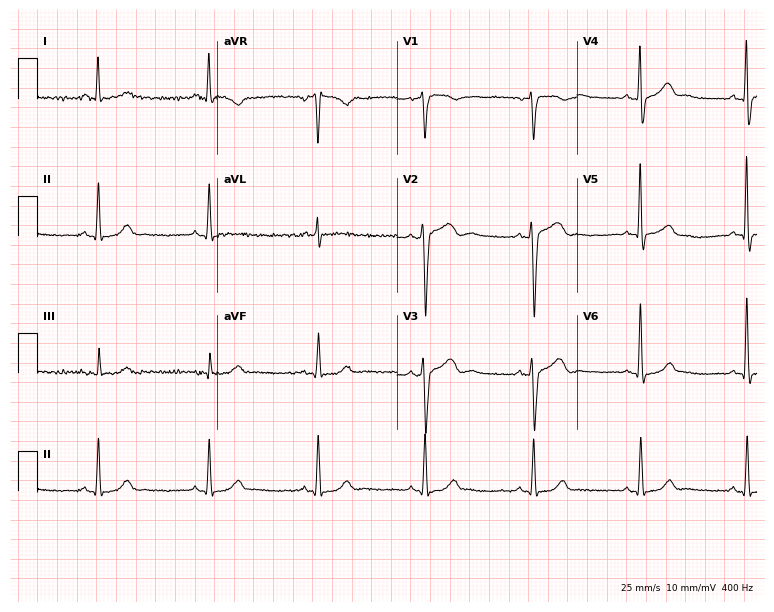
ECG (7.3-second recording at 400 Hz) — a 56-year-old female. Labelled as a normal ECG.